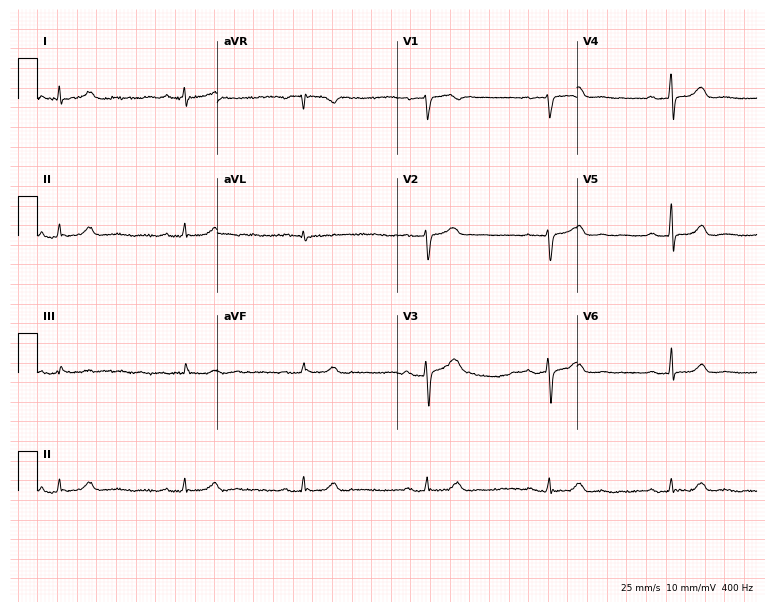
12-lead ECG from a 57-year-old woman. Recorded interpretation: within normal limits.